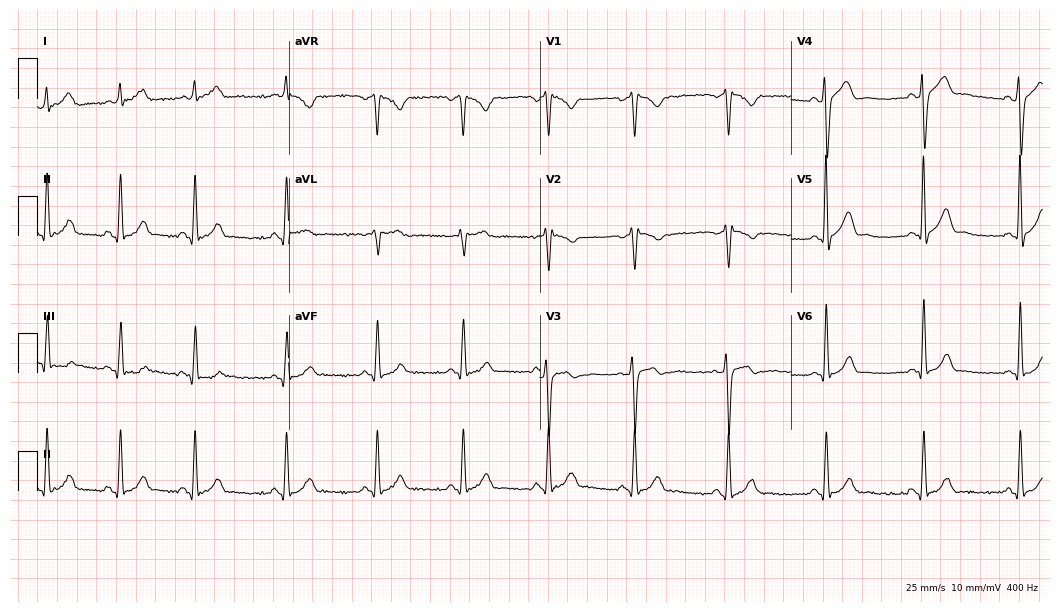
Resting 12-lead electrocardiogram. Patient: a man, 27 years old. Read as a normal ECG.